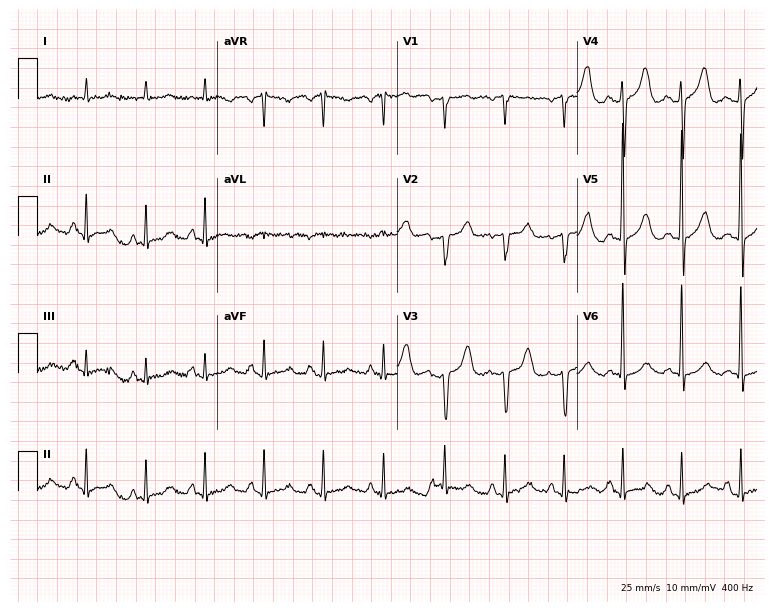
12-lead ECG from a man, 78 years old. No first-degree AV block, right bundle branch block (RBBB), left bundle branch block (LBBB), sinus bradycardia, atrial fibrillation (AF) or sinus tachycardia recorded for this tracing. Only these six findings were labelled.